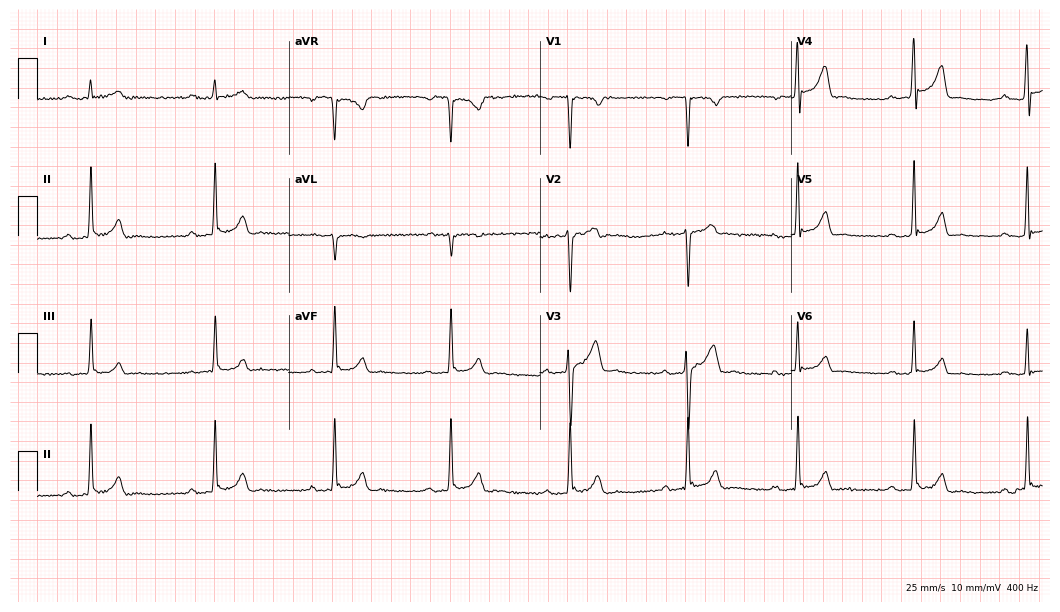
Resting 12-lead electrocardiogram. Patient: a 42-year-old man. The tracing shows first-degree AV block.